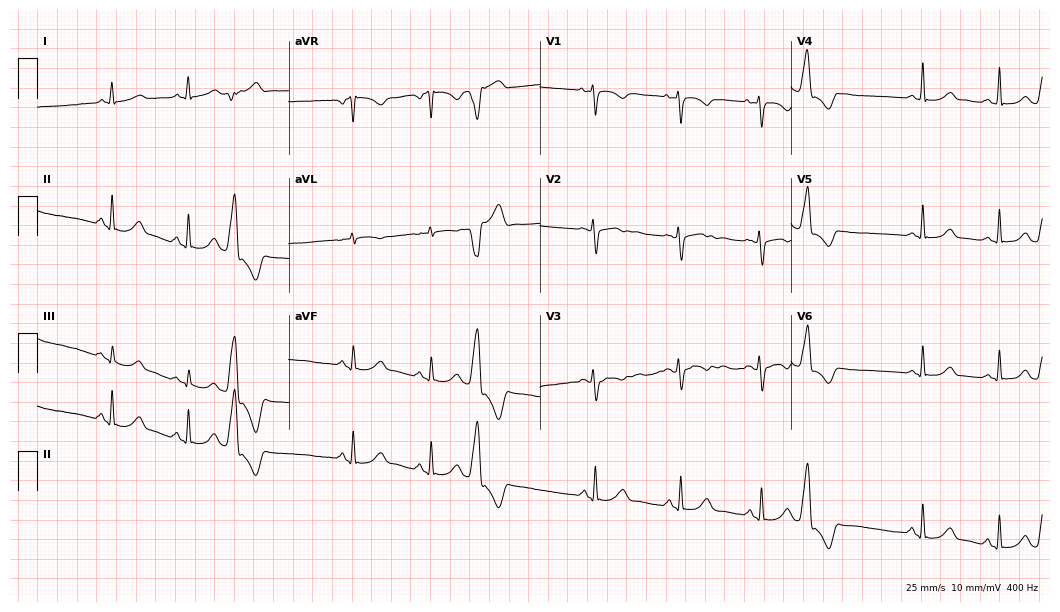
Standard 12-lead ECG recorded from a 27-year-old woman. None of these six findings is recorded: first-degree AV block, right bundle branch block (RBBB), left bundle branch block (LBBB), sinus bradycardia, atrial fibrillation (AF), sinus tachycardia. Other findings, if any, are not listed.